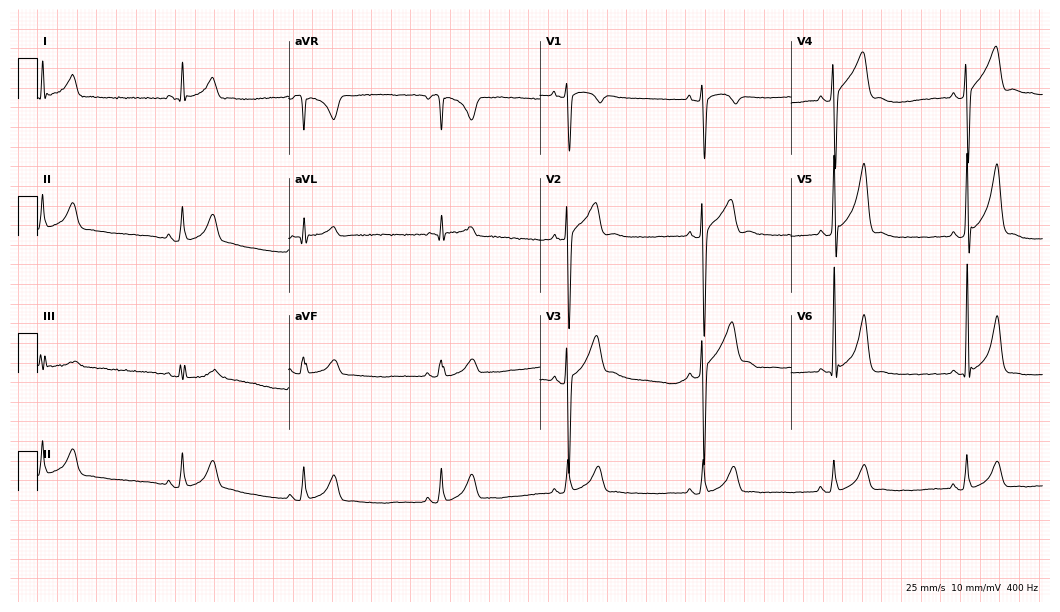
12-lead ECG from a 21-year-old man. Findings include sinus bradycardia (a sinus rate of 50 beats per minute or less).